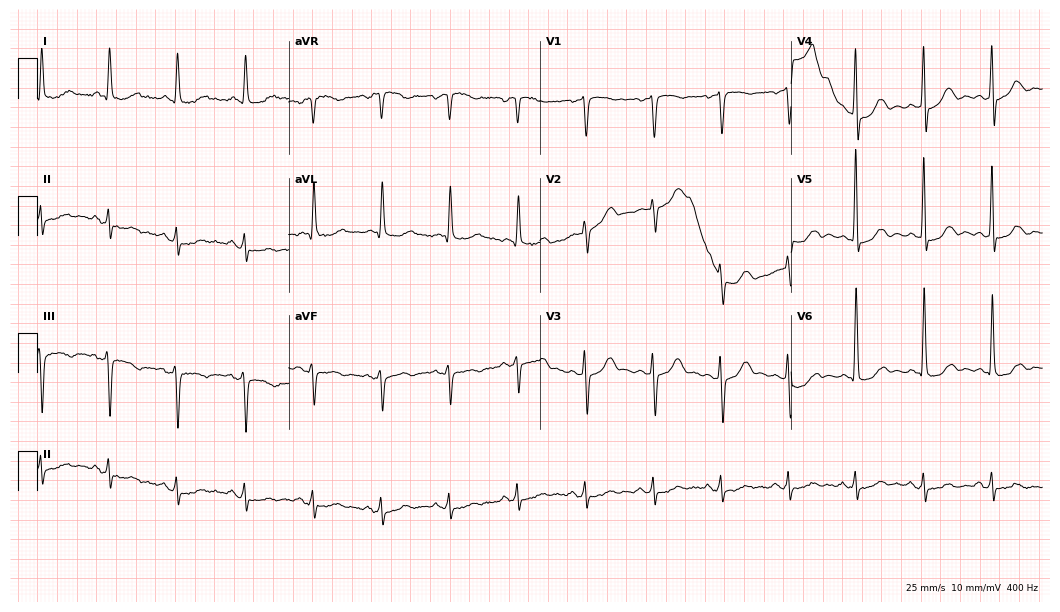
12-lead ECG from a male patient, 77 years old. Screened for six findings — first-degree AV block, right bundle branch block, left bundle branch block, sinus bradycardia, atrial fibrillation, sinus tachycardia — none is recorded. Findings outside these six are not listed.